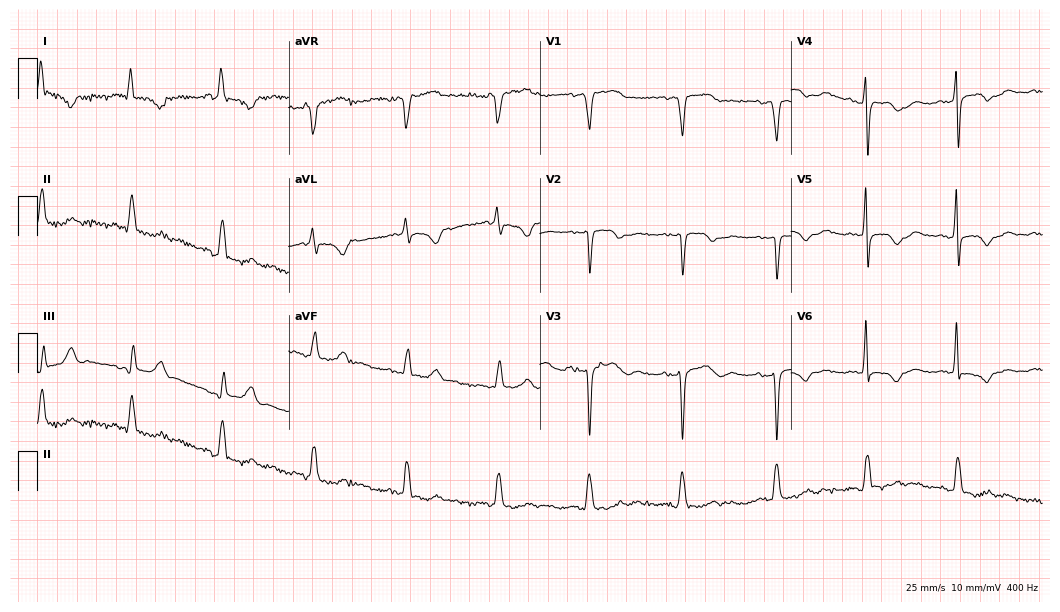
ECG (10.2-second recording at 400 Hz) — a woman, 71 years old. Screened for six findings — first-degree AV block, right bundle branch block, left bundle branch block, sinus bradycardia, atrial fibrillation, sinus tachycardia — none is recorded.